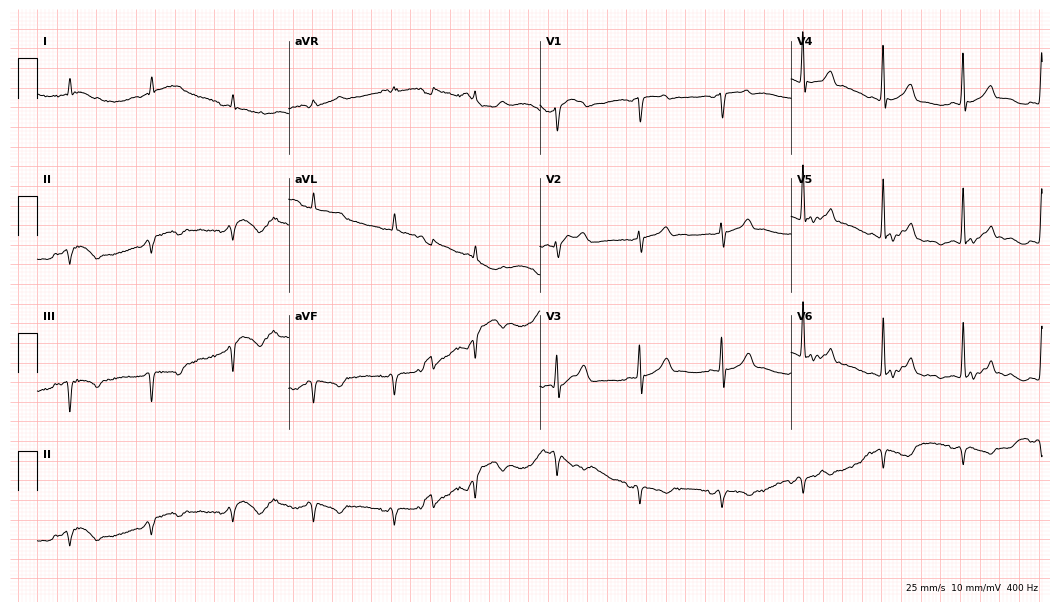
Standard 12-lead ECG recorded from an 82-year-old woman (10.2-second recording at 400 Hz). None of these six findings is recorded: first-degree AV block, right bundle branch block, left bundle branch block, sinus bradycardia, atrial fibrillation, sinus tachycardia.